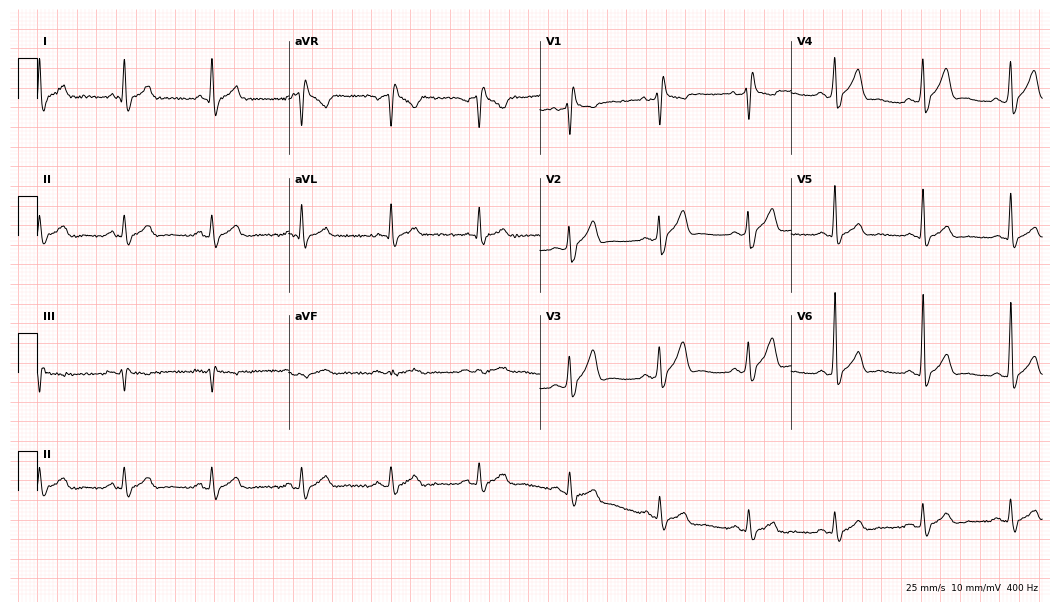
ECG (10.2-second recording at 400 Hz) — a 55-year-old male patient. Findings include right bundle branch block.